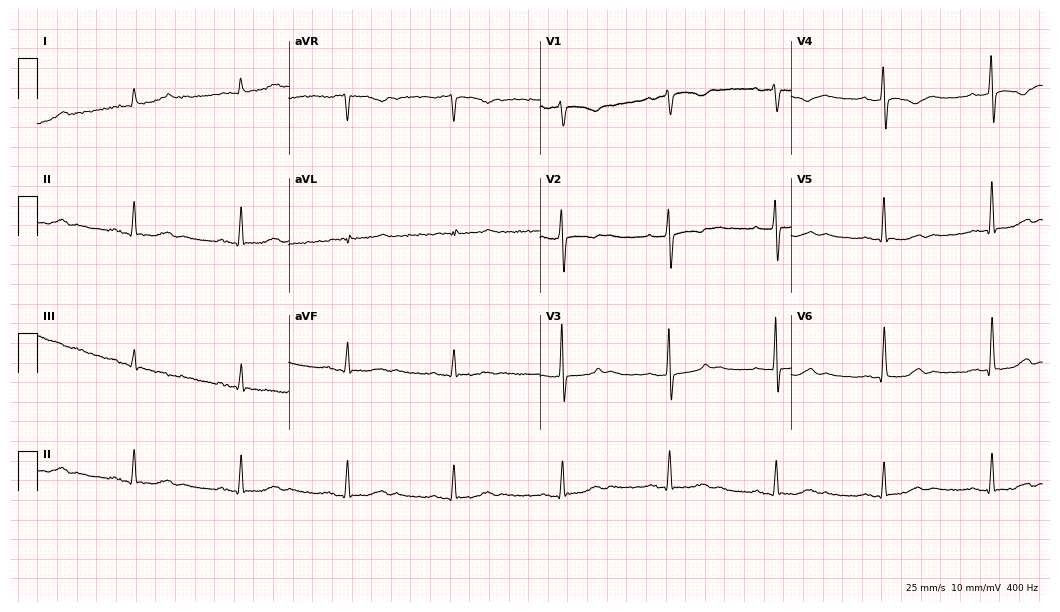
Standard 12-lead ECG recorded from a 72-year-old woman (10.2-second recording at 400 Hz). None of these six findings is recorded: first-degree AV block, right bundle branch block (RBBB), left bundle branch block (LBBB), sinus bradycardia, atrial fibrillation (AF), sinus tachycardia. Other findings, if any, are not listed.